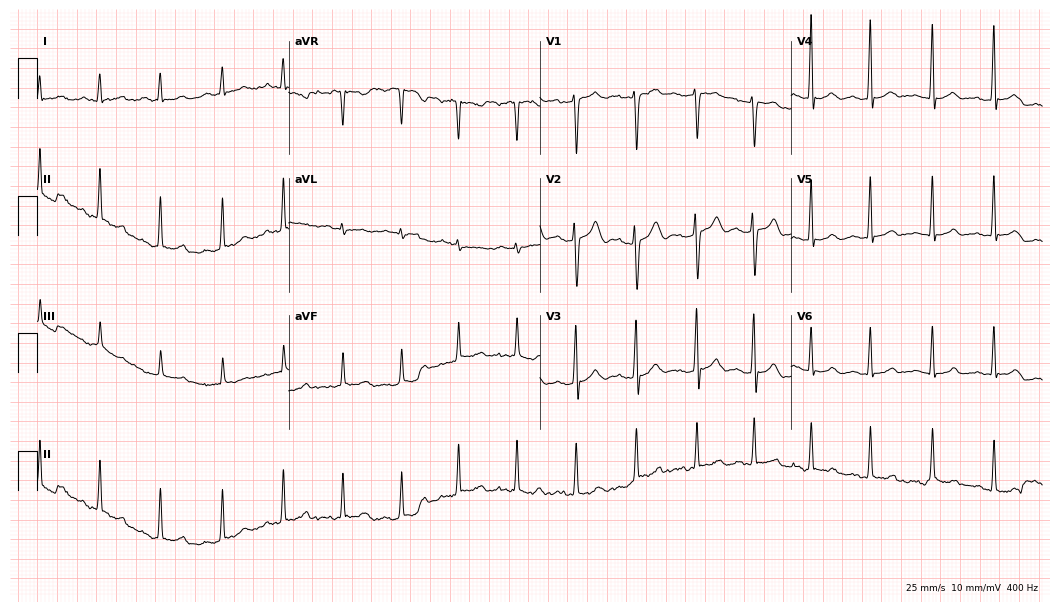
12-lead ECG from a female patient, 19 years old. Recorded interpretation: within normal limits.